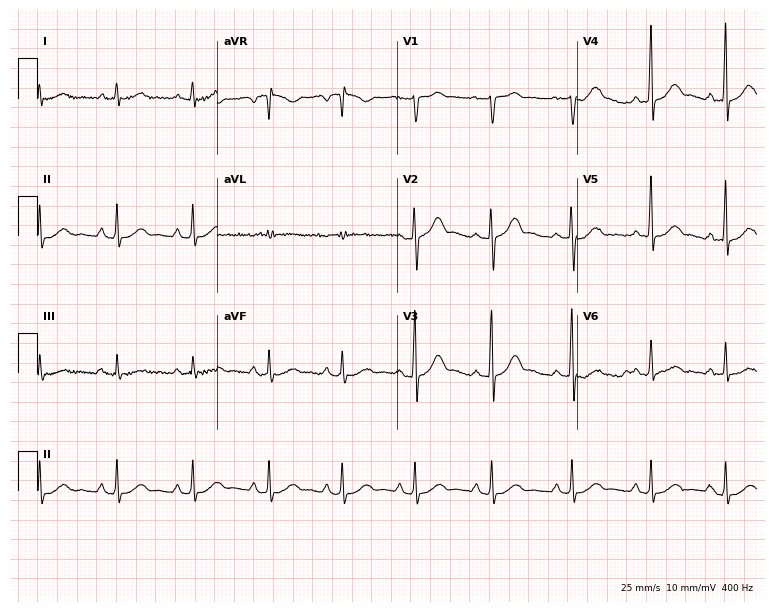
Resting 12-lead electrocardiogram (7.3-second recording at 400 Hz). Patient: a male, 68 years old. Read as a normal ECG.